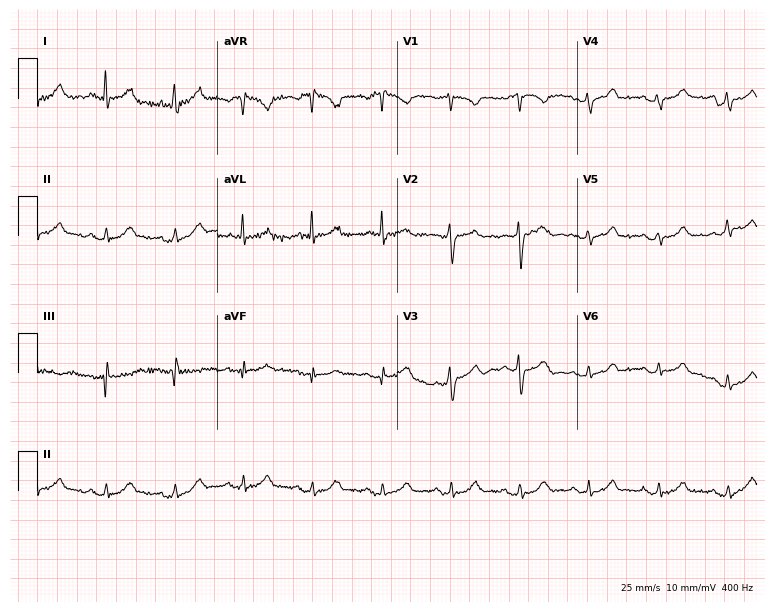
Electrocardiogram (7.3-second recording at 400 Hz), a male, 68 years old. Overall reading on record: normal ECG.